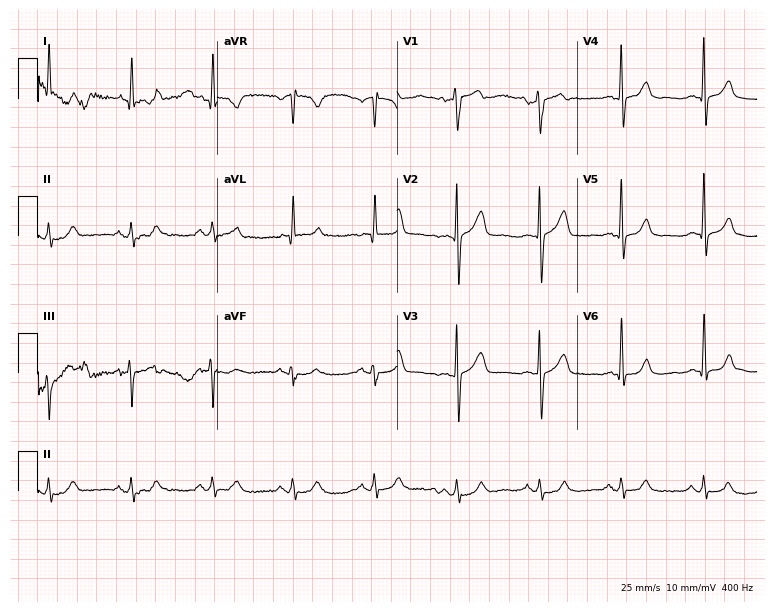
12-lead ECG (7.3-second recording at 400 Hz) from a male, 61 years old. Screened for six findings — first-degree AV block, right bundle branch block (RBBB), left bundle branch block (LBBB), sinus bradycardia, atrial fibrillation (AF), sinus tachycardia — none is recorded.